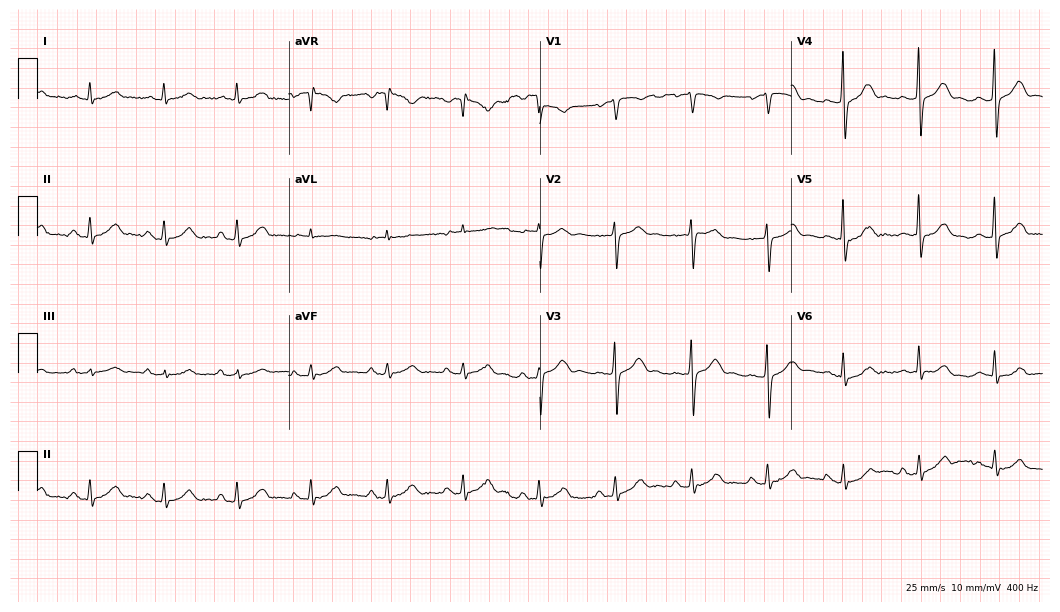
Resting 12-lead electrocardiogram (10.2-second recording at 400 Hz). Patient: a 75-year-old male. Read as a normal ECG.